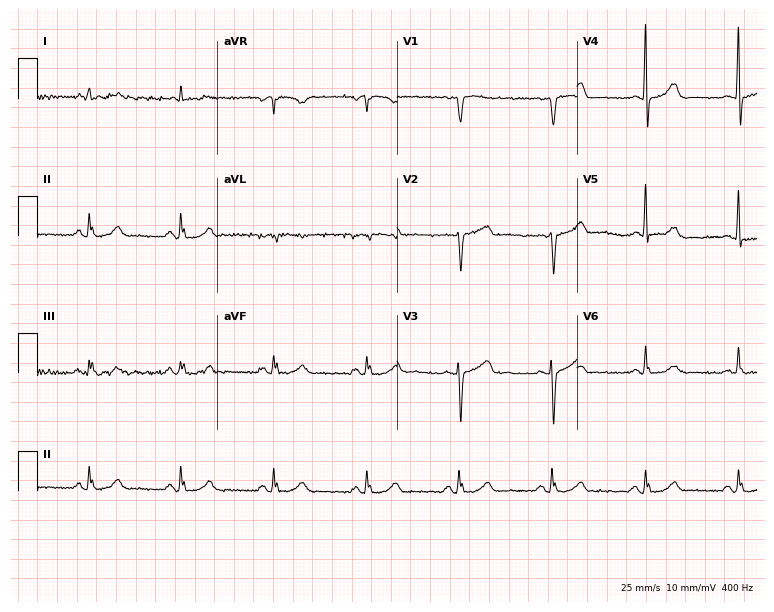
ECG — a 67-year-old male patient. Labelled as a normal ECG.